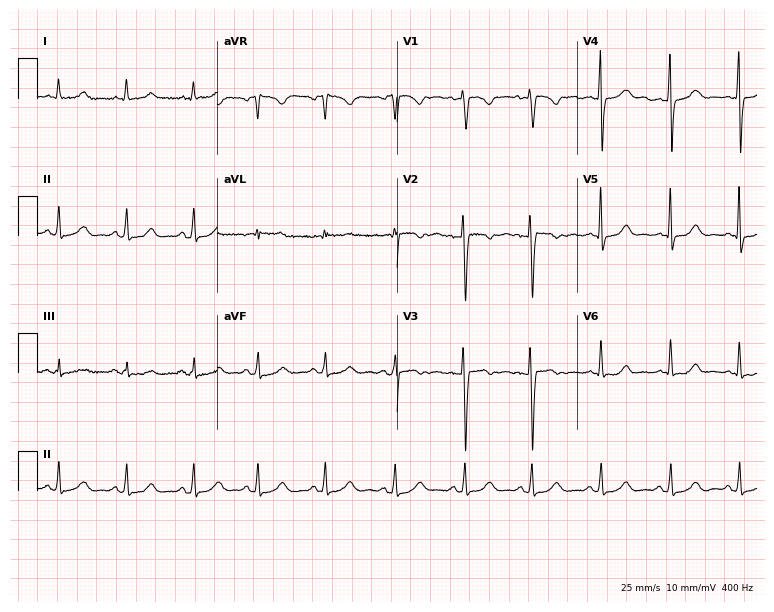
Resting 12-lead electrocardiogram (7.3-second recording at 400 Hz). Patient: a 53-year-old woman. None of these six findings is recorded: first-degree AV block, right bundle branch block, left bundle branch block, sinus bradycardia, atrial fibrillation, sinus tachycardia. Only these six findings were labelled.